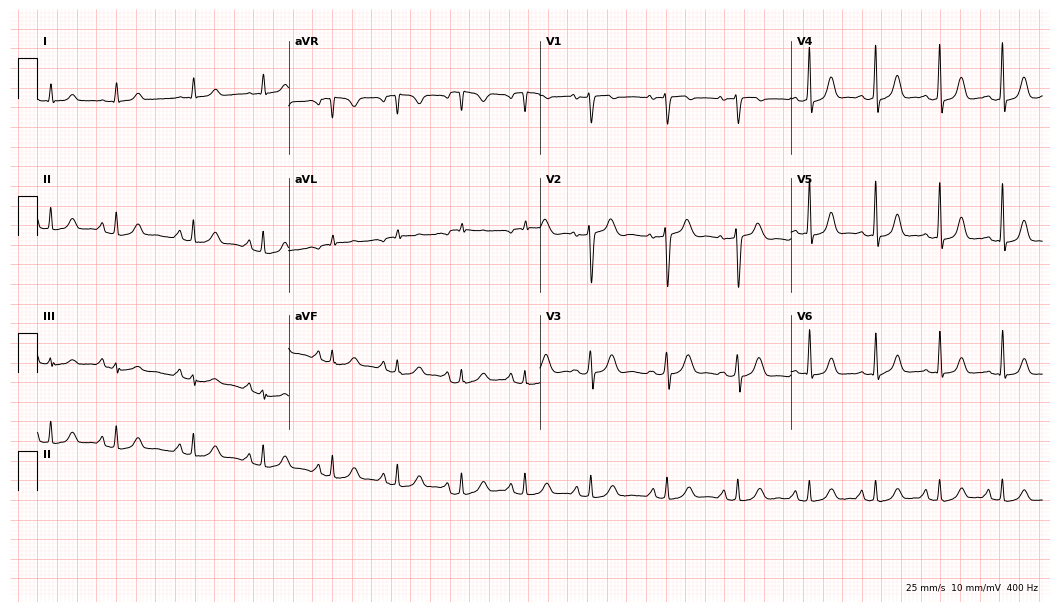
12-lead ECG from a woman, 36 years old. Labelled as a normal ECG.